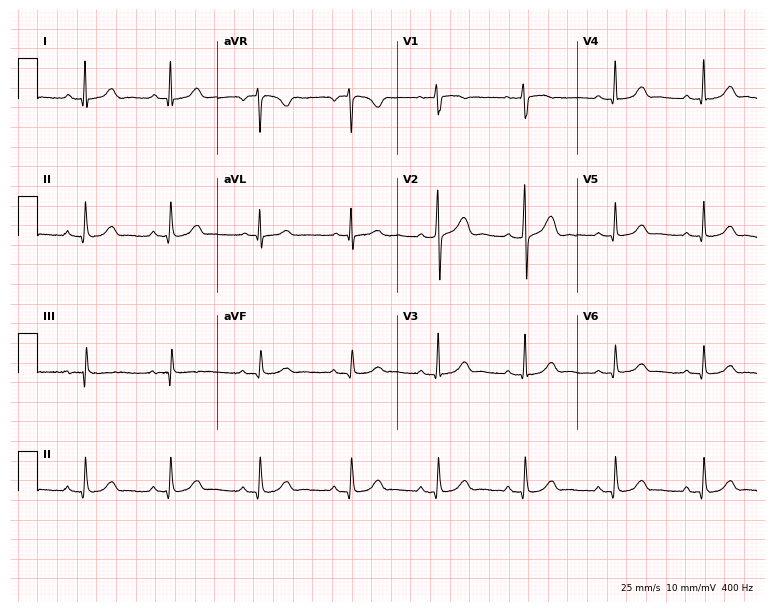
ECG — a 43-year-old female patient. Screened for six findings — first-degree AV block, right bundle branch block, left bundle branch block, sinus bradycardia, atrial fibrillation, sinus tachycardia — none is recorded. Other findings, if any, are not listed.